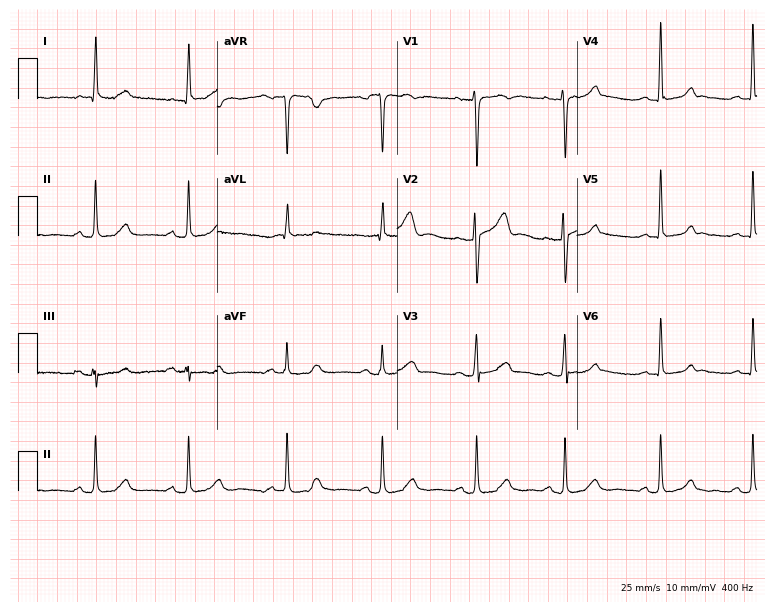
Electrocardiogram (7.3-second recording at 400 Hz), a 45-year-old female patient. Overall reading on record: normal ECG.